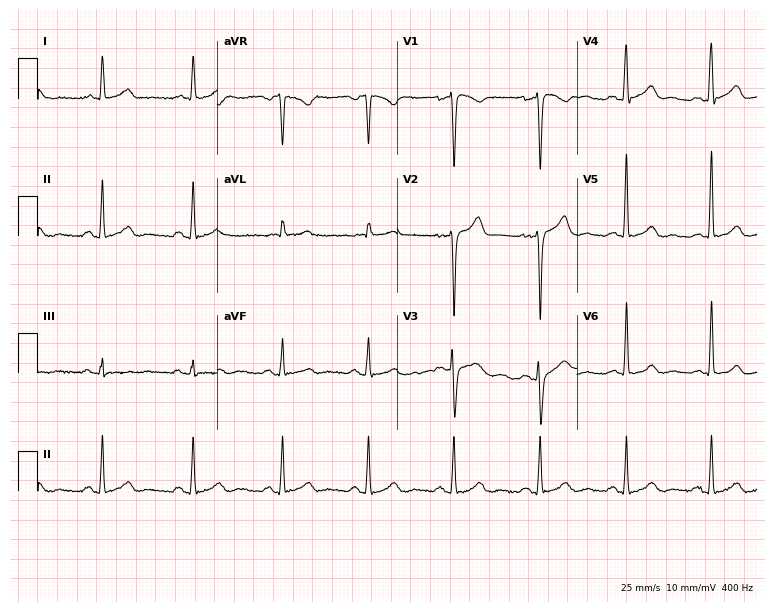
Standard 12-lead ECG recorded from a male, 36 years old (7.3-second recording at 400 Hz). None of these six findings is recorded: first-degree AV block, right bundle branch block, left bundle branch block, sinus bradycardia, atrial fibrillation, sinus tachycardia. Other findings, if any, are not listed.